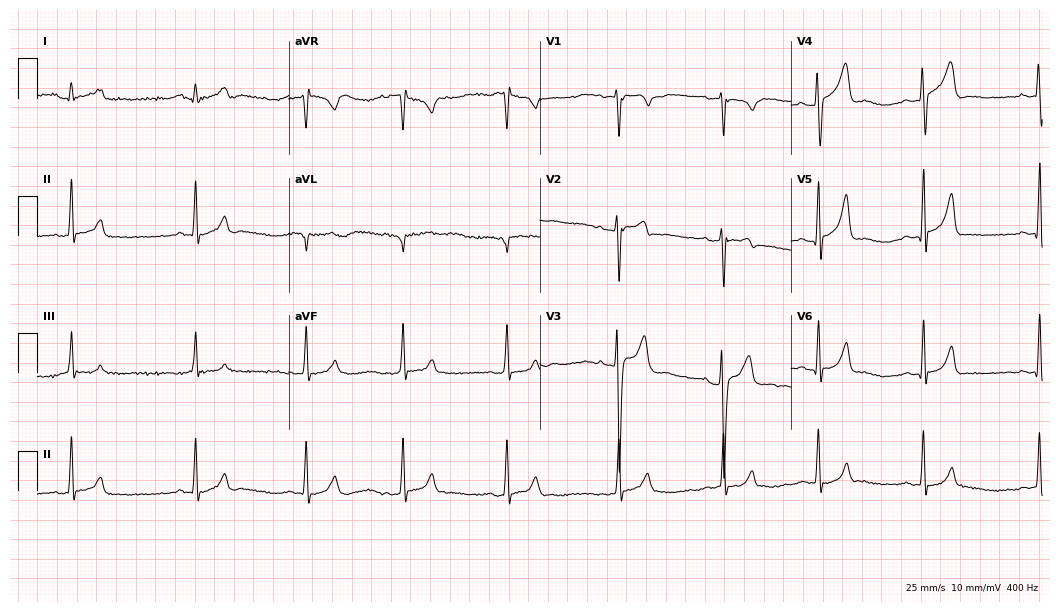
Resting 12-lead electrocardiogram (10.2-second recording at 400 Hz). Patient: a 20-year-old man. Read as a normal ECG.